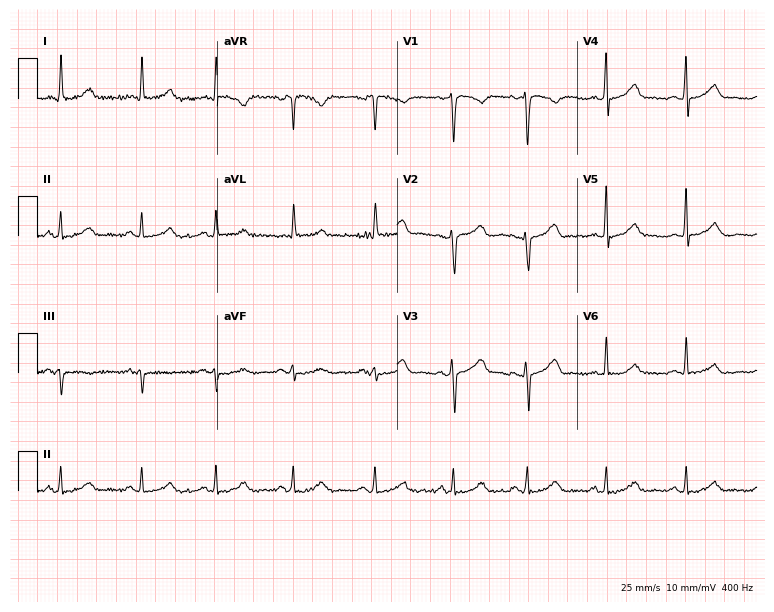
Resting 12-lead electrocardiogram. Patient: a woman, 35 years old. Read as a normal ECG.